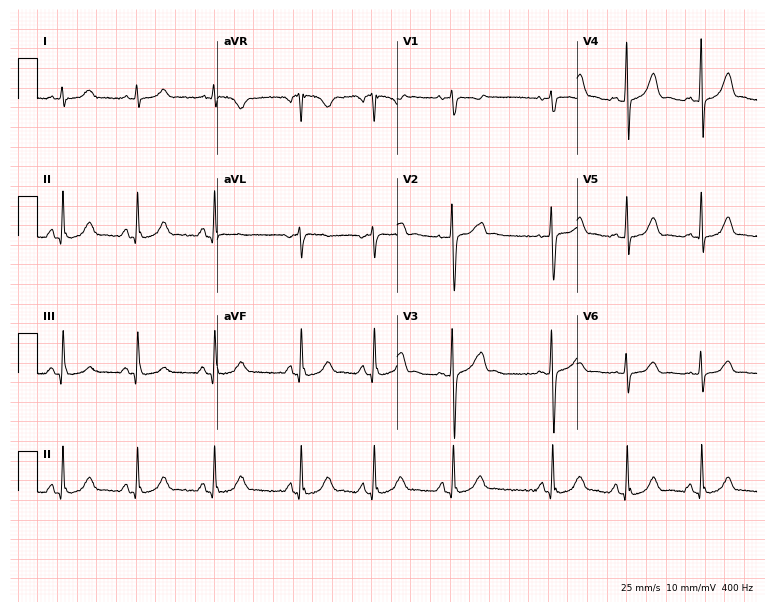
Standard 12-lead ECG recorded from a 19-year-old woman. Read as a normal ECG.